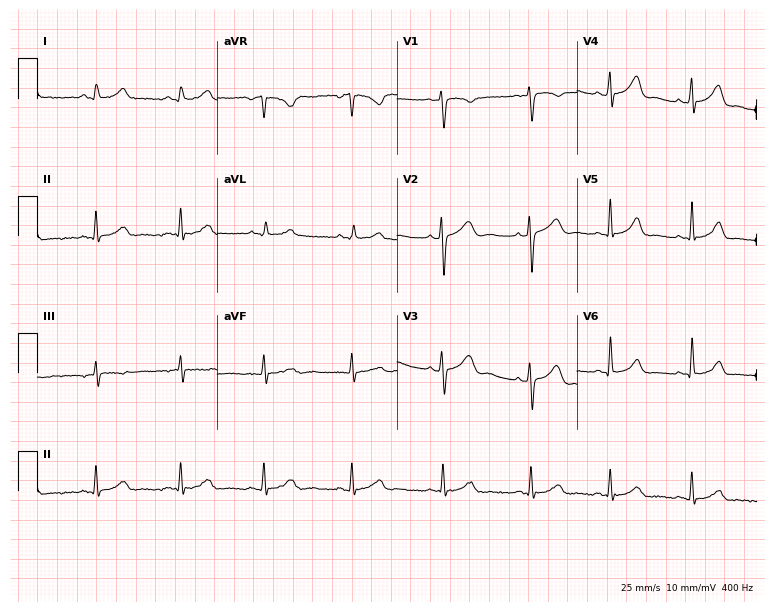
Standard 12-lead ECG recorded from a female, 22 years old (7.3-second recording at 400 Hz). None of these six findings is recorded: first-degree AV block, right bundle branch block, left bundle branch block, sinus bradycardia, atrial fibrillation, sinus tachycardia.